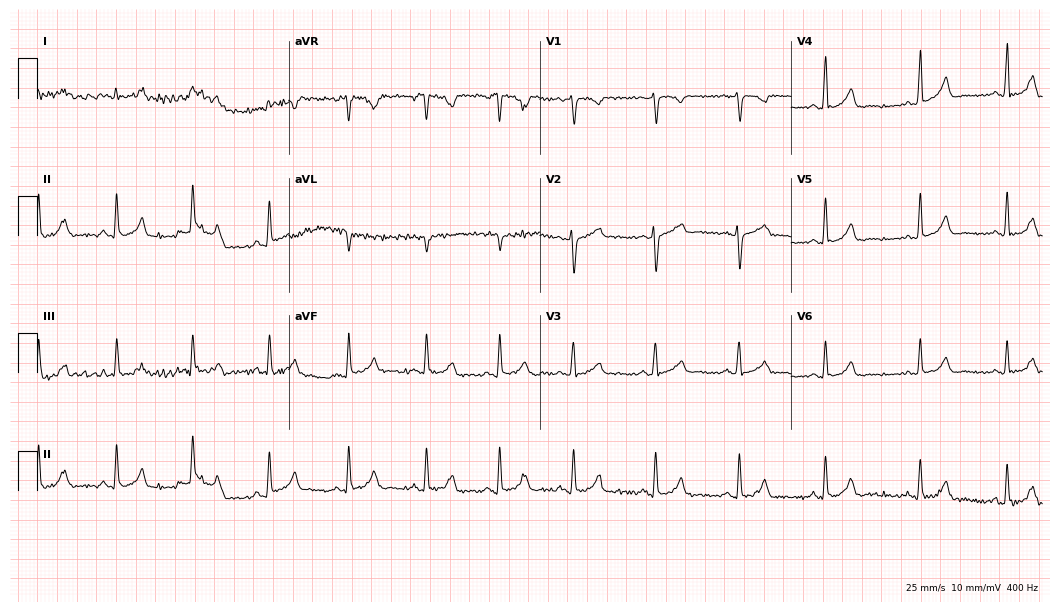
12-lead ECG from a 32-year-old female. Recorded interpretation: within normal limits.